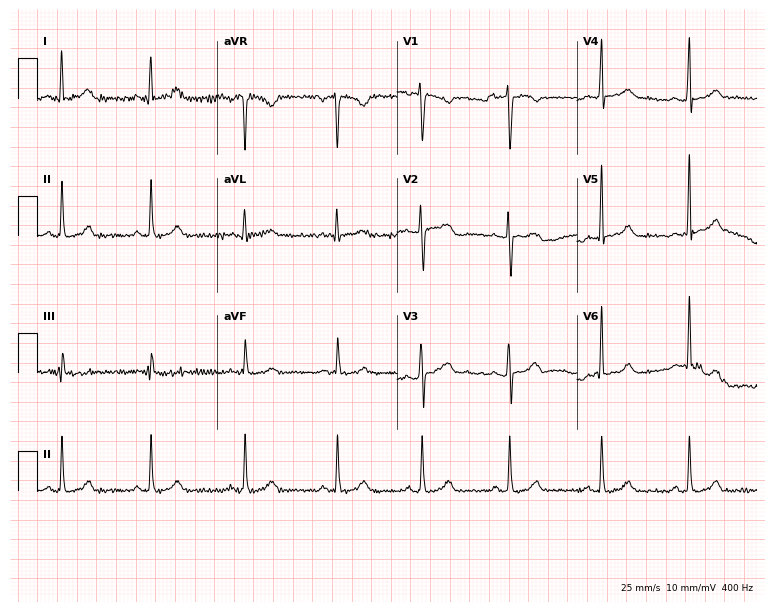
ECG — a female patient, 40 years old. Labelled as a normal ECG.